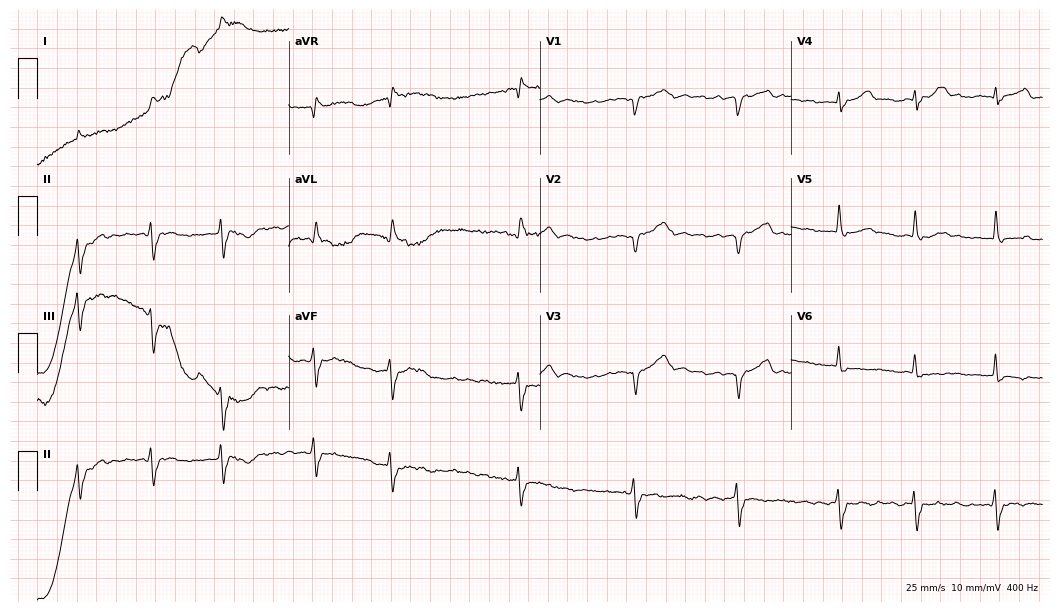
12-lead ECG (10.2-second recording at 400 Hz) from a 73-year-old man. Findings include atrial fibrillation (AF).